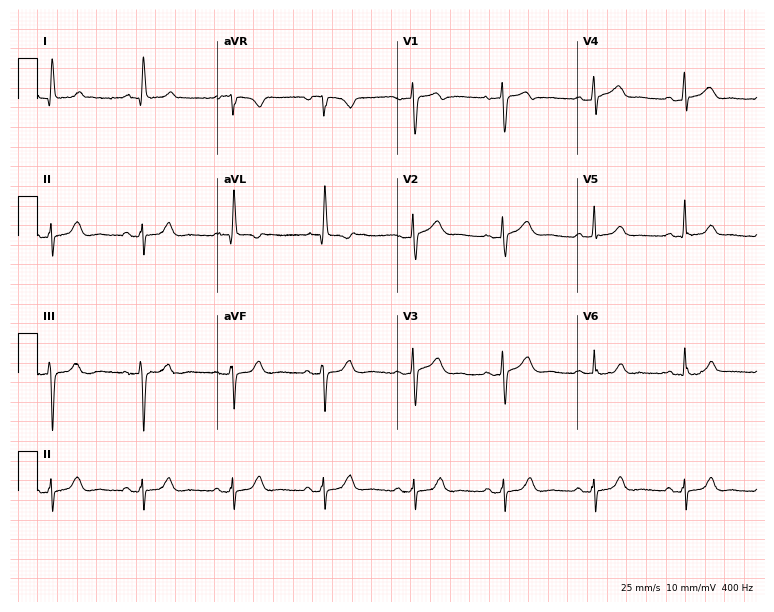
12-lead ECG from a woman, 65 years old (7.3-second recording at 400 Hz). Recorded interpretation: within normal limits.